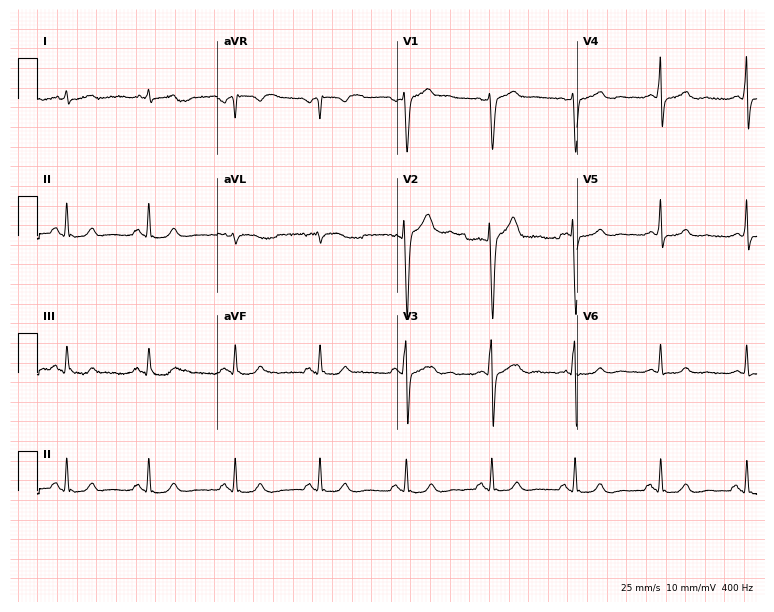
Electrocardiogram (7.3-second recording at 400 Hz), a male, 57 years old. Overall reading on record: normal ECG.